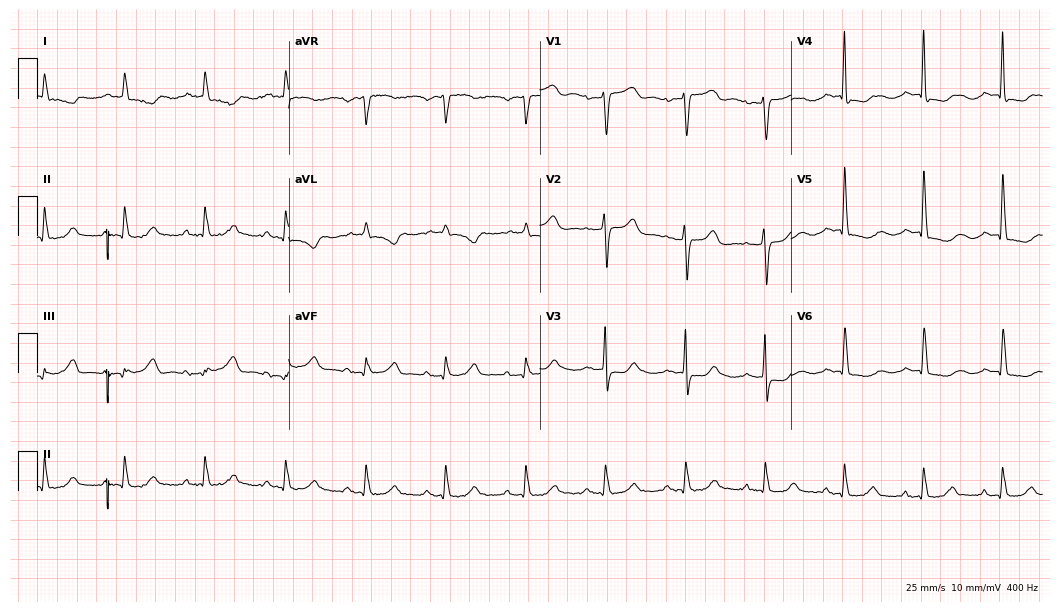
Resting 12-lead electrocardiogram (10.2-second recording at 400 Hz). Patient: a 77-year-old female. None of these six findings is recorded: first-degree AV block, right bundle branch block (RBBB), left bundle branch block (LBBB), sinus bradycardia, atrial fibrillation (AF), sinus tachycardia. Other findings, if any, are not listed.